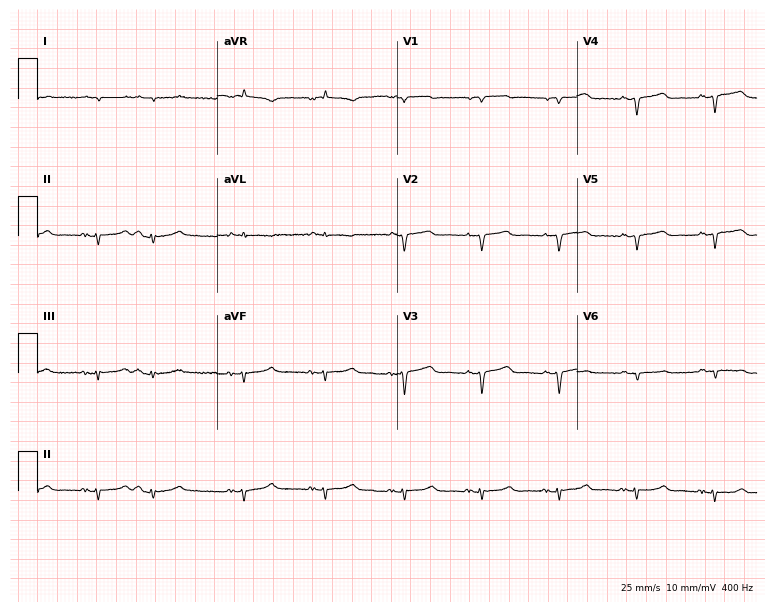
12-lead ECG from a male patient, 81 years old. Screened for six findings — first-degree AV block, right bundle branch block (RBBB), left bundle branch block (LBBB), sinus bradycardia, atrial fibrillation (AF), sinus tachycardia — none is recorded.